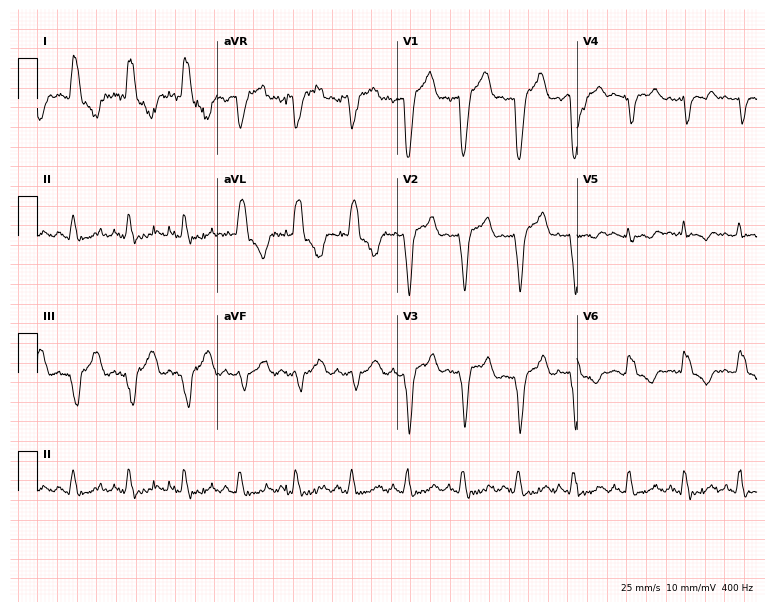
Electrocardiogram (7.3-second recording at 400 Hz), a 62-year-old male. Interpretation includes left bundle branch block (LBBB), sinus tachycardia (a sinus rate of 100 beats per minute or more).